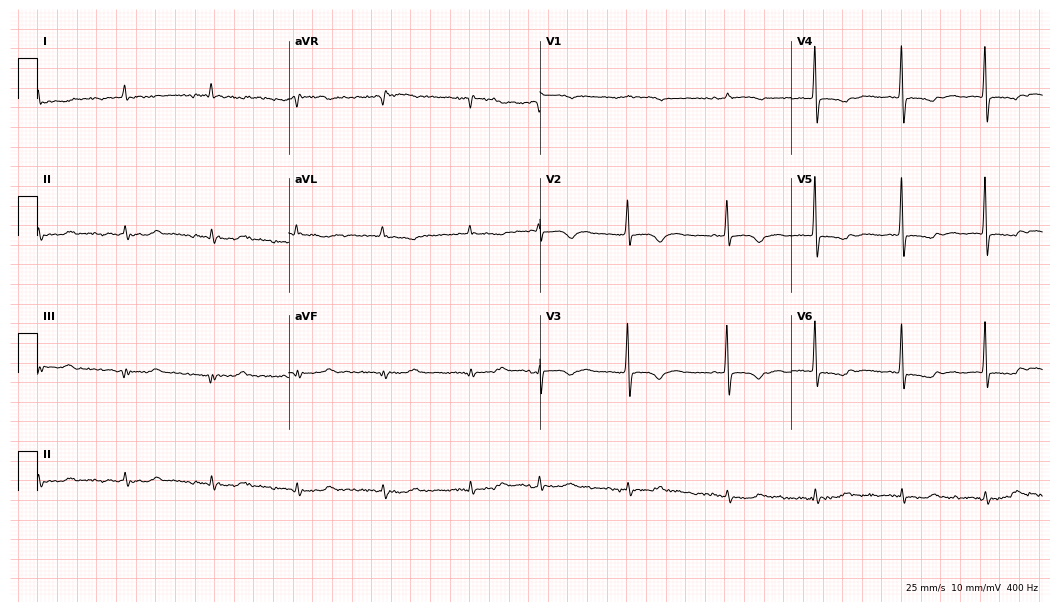
Electrocardiogram (10.2-second recording at 400 Hz), a 79-year-old female. Of the six screened findings (first-degree AV block, right bundle branch block (RBBB), left bundle branch block (LBBB), sinus bradycardia, atrial fibrillation (AF), sinus tachycardia), none is recorded. Findings outside these six are not listed.